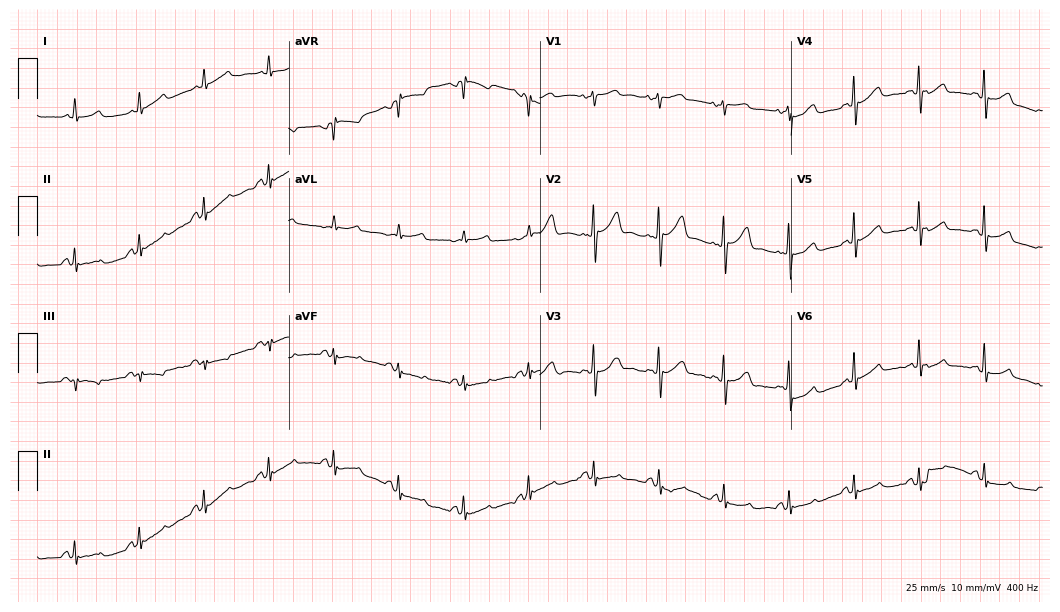
12-lead ECG from a 51-year-old man. Labelled as a normal ECG.